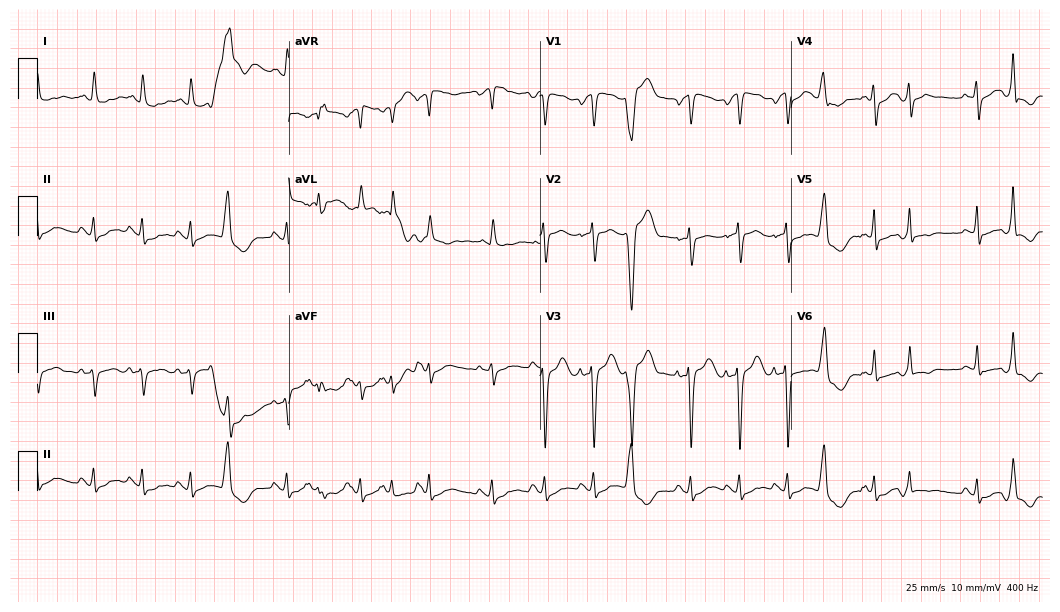
Standard 12-lead ECG recorded from an 84-year-old woman (10.2-second recording at 400 Hz). The tracing shows sinus tachycardia (a sinus rate of 100 beats per minute or more).